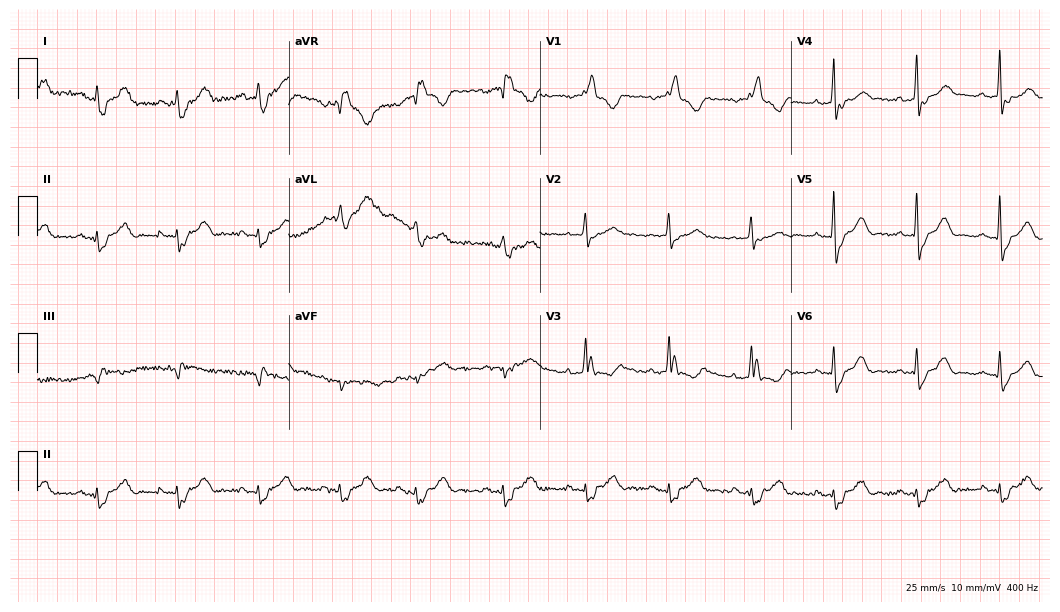
Standard 12-lead ECG recorded from a male, 73 years old (10.2-second recording at 400 Hz). The tracing shows right bundle branch block.